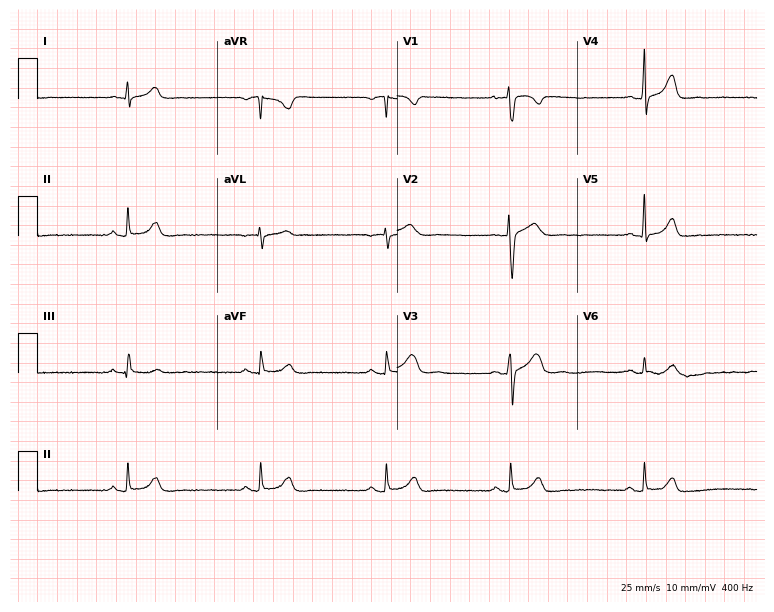
Electrocardiogram (7.3-second recording at 400 Hz), a 32-year-old male. Interpretation includes sinus bradycardia (a sinus rate of 50 beats per minute or less).